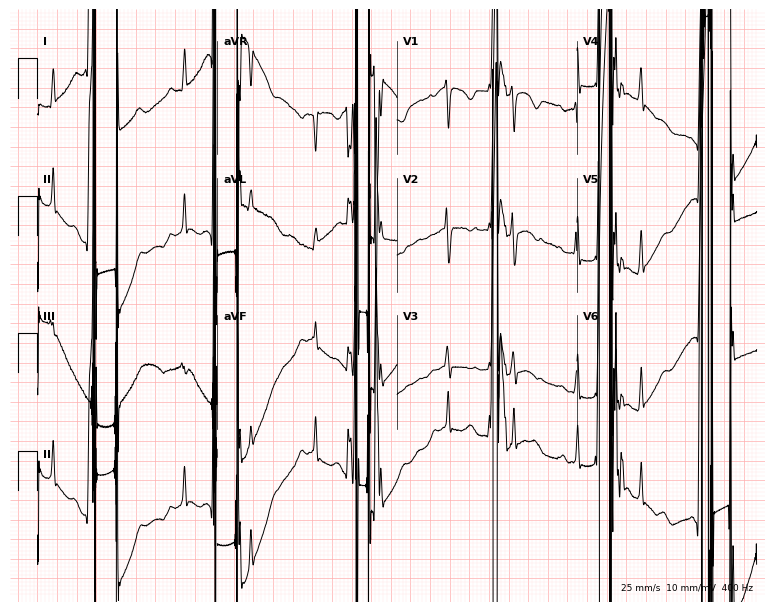
Resting 12-lead electrocardiogram. Patient: a 35-year-old female. None of these six findings is recorded: first-degree AV block, right bundle branch block, left bundle branch block, sinus bradycardia, atrial fibrillation, sinus tachycardia. Only these six findings were labelled.